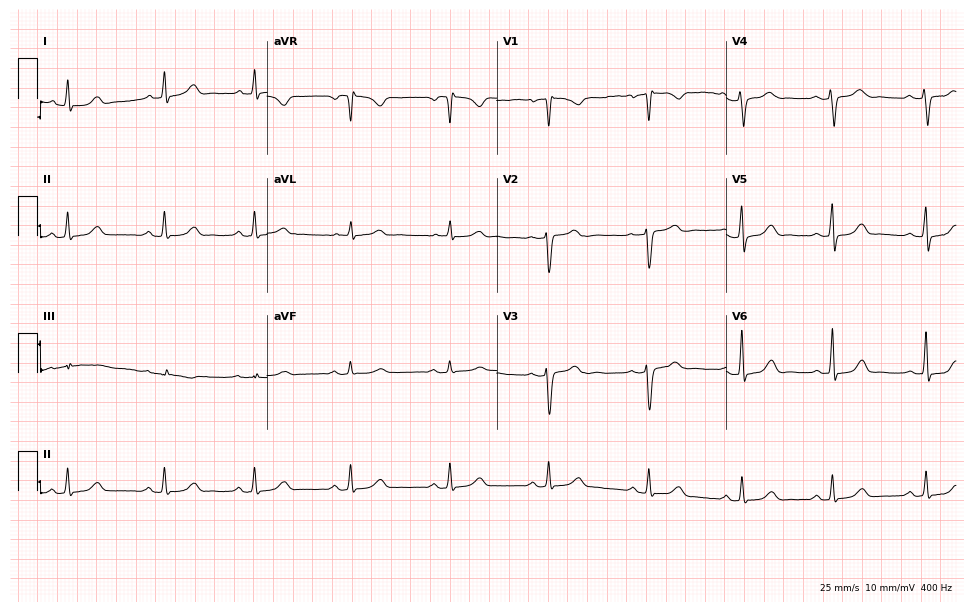
ECG (9.4-second recording at 400 Hz) — a 49-year-old female patient. Labelled as a normal ECG.